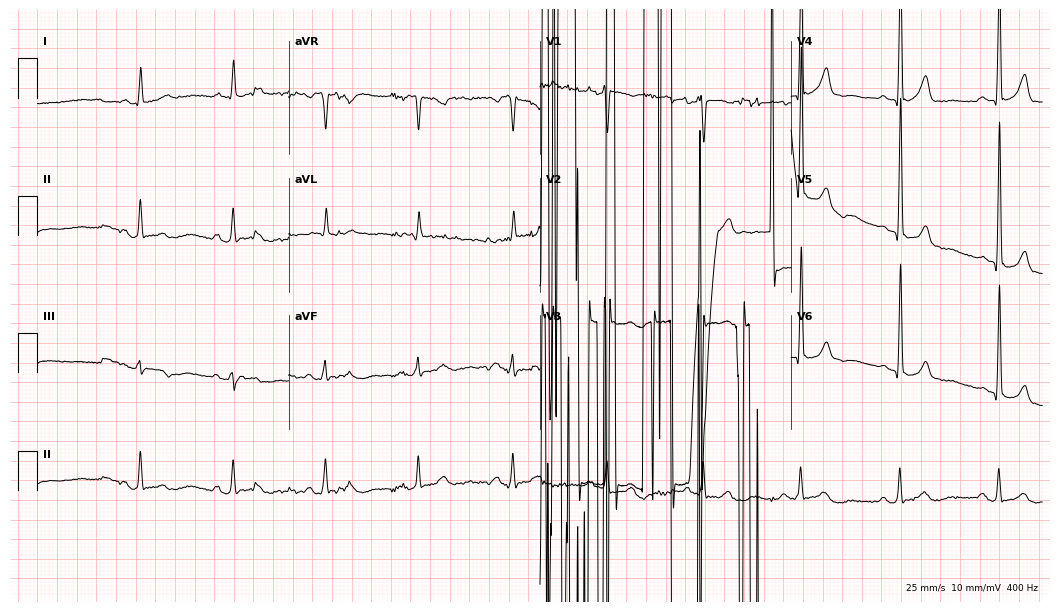
ECG (10.2-second recording at 400 Hz) — a man, 70 years old. Screened for six findings — first-degree AV block, right bundle branch block, left bundle branch block, sinus bradycardia, atrial fibrillation, sinus tachycardia — none is recorded.